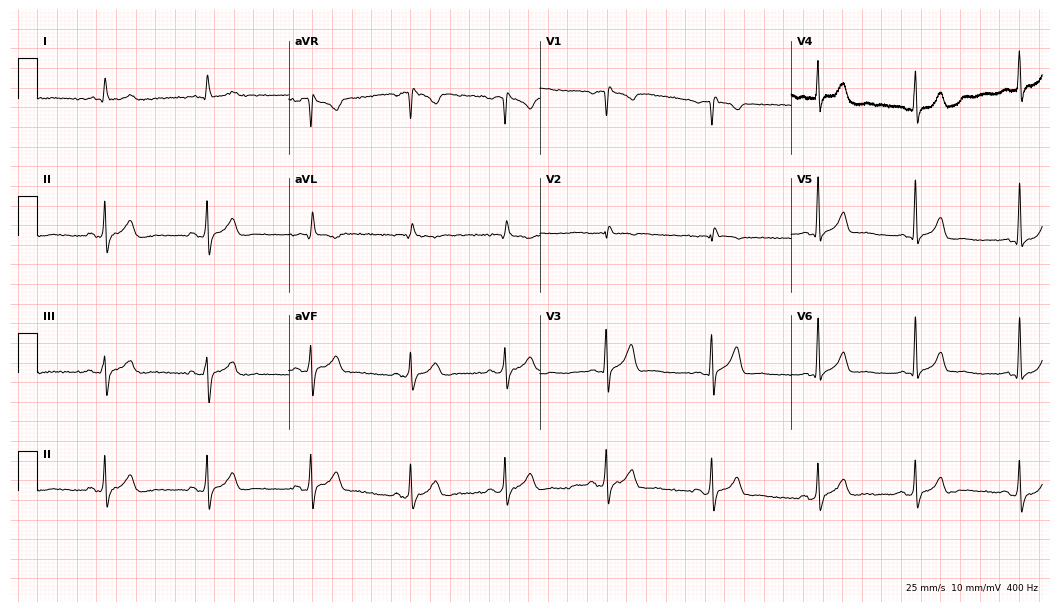
ECG (10.2-second recording at 400 Hz) — a male patient, 53 years old. Labelled as a normal ECG.